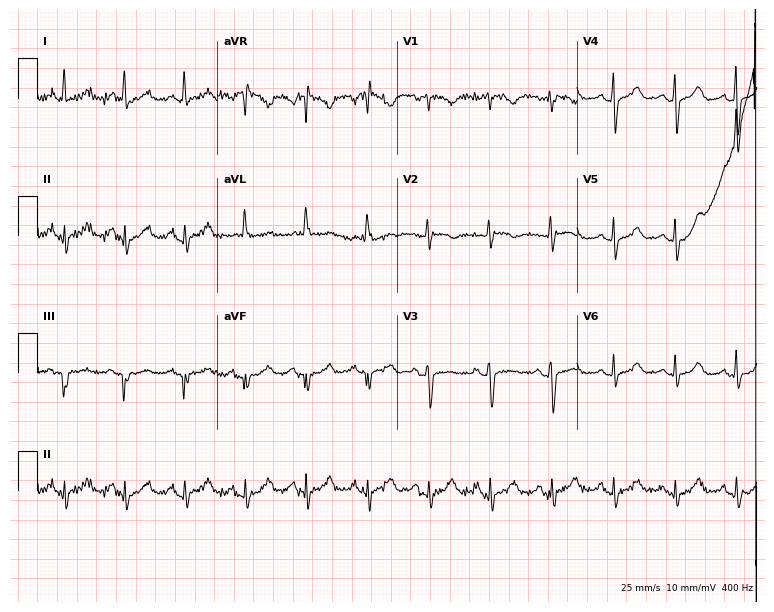
Electrocardiogram, a female, 73 years old. Of the six screened findings (first-degree AV block, right bundle branch block, left bundle branch block, sinus bradycardia, atrial fibrillation, sinus tachycardia), none is recorded.